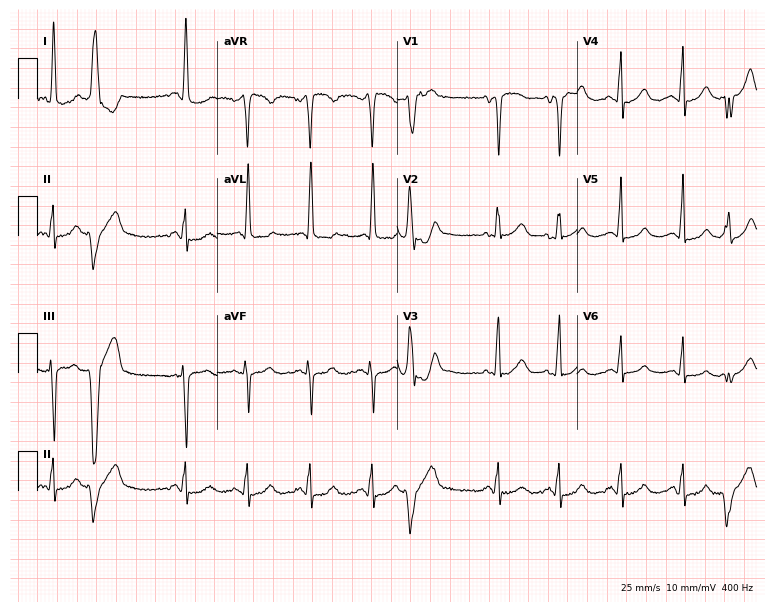
ECG — a 78-year-old female. Screened for six findings — first-degree AV block, right bundle branch block (RBBB), left bundle branch block (LBBB), sinus bradycardia, atrial fibrillation (AF), sinus tachycardia — none is recorded.